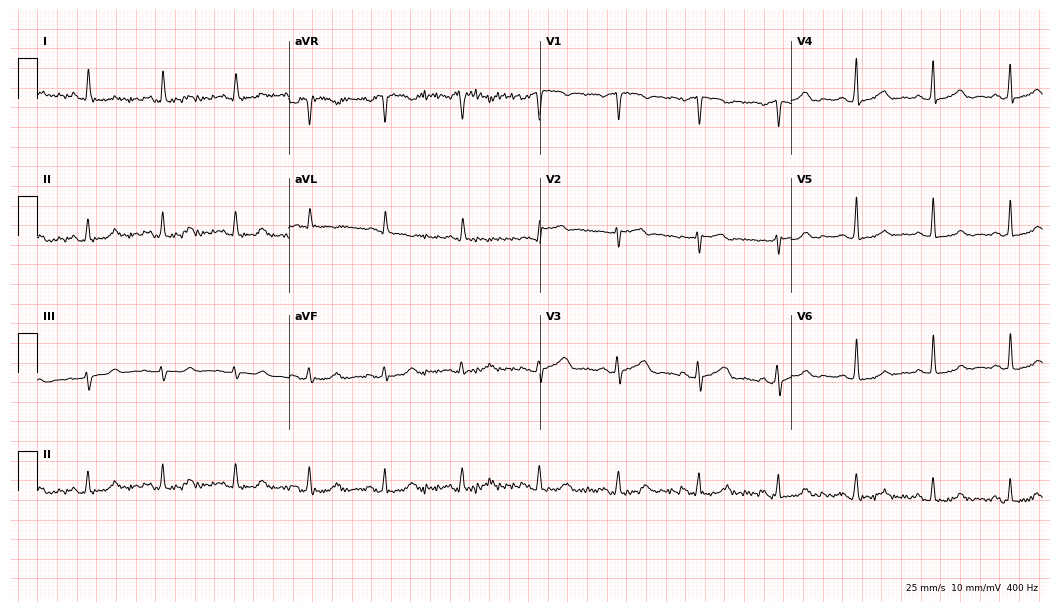
12-lead ECG (10.2-second recording at 400 Hz) from a 56-year-old female patient. Labelled as a normal ECG.